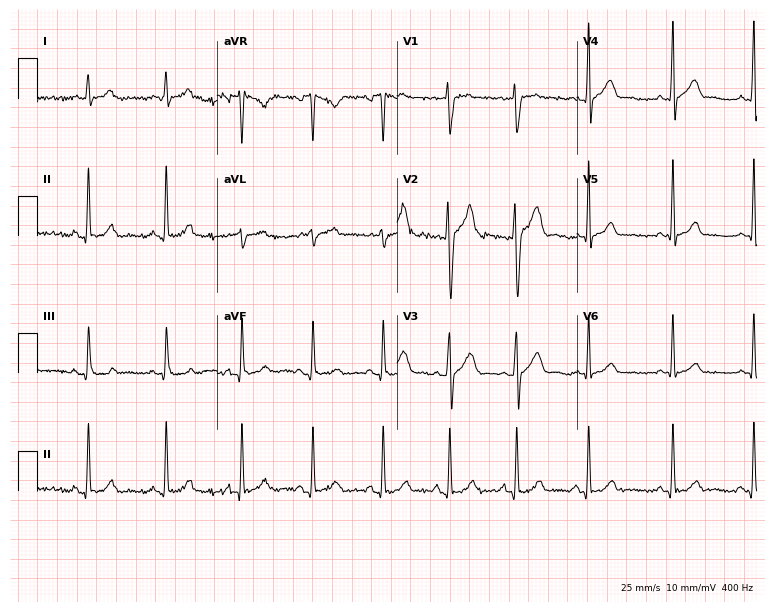
12-lead ECG from a 24-year-old man (7.3-second recording at 400 Hz). Recorded interpretation: within normal limits.